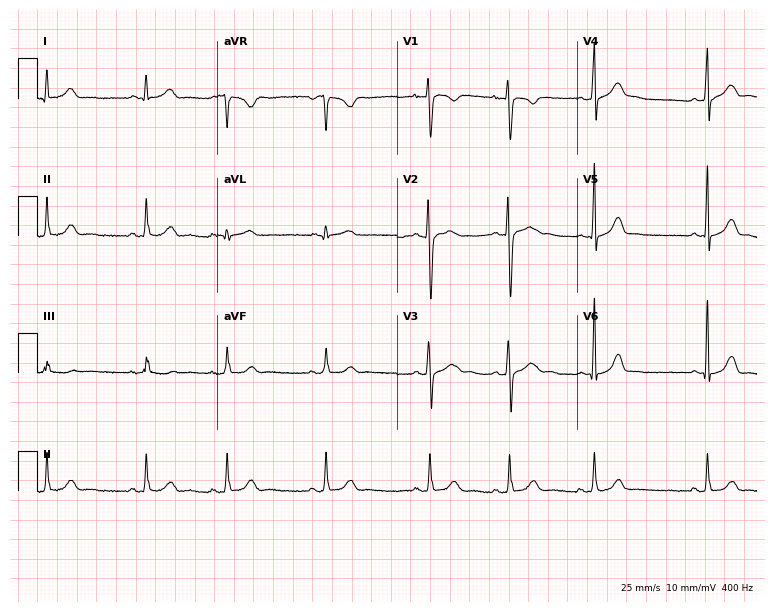
12-lead ECG (7.3-second recording at 400 Hz) from a female patient, 21 years old. Screened for six findings — first-degree AV block, right bundle branch block (RBBB), left bundle branch block (LBBB), sinus bradycardia, atrial fibrillation (AF), sinus tachycardia — none is recorded.